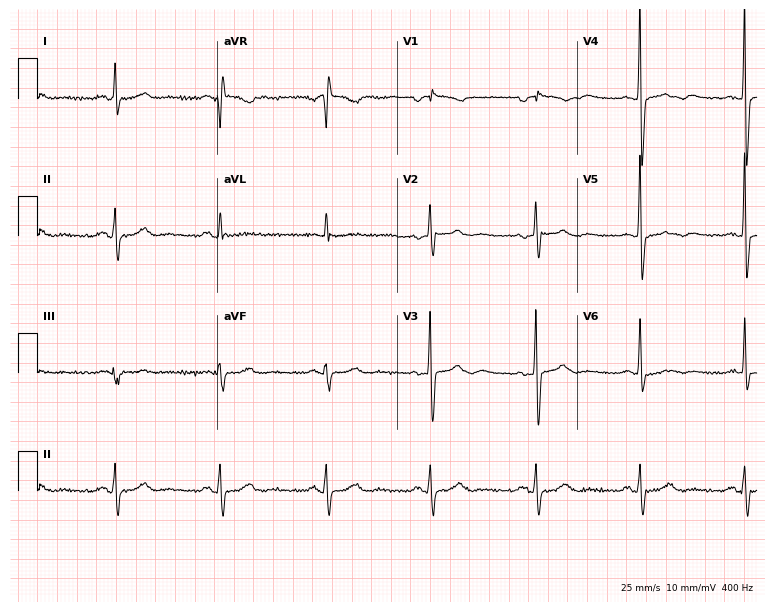
Electrocardiogram (7.3-second recording at 400 Hz), a woman, 71 years old. Of the six screened findings (first-degree AV block, right bundle branch block (RBBB), left bundle branch block (LBBB), sinus bradycardia, atrial fibrillation (AF), sinus tachycardia), none is recorded.